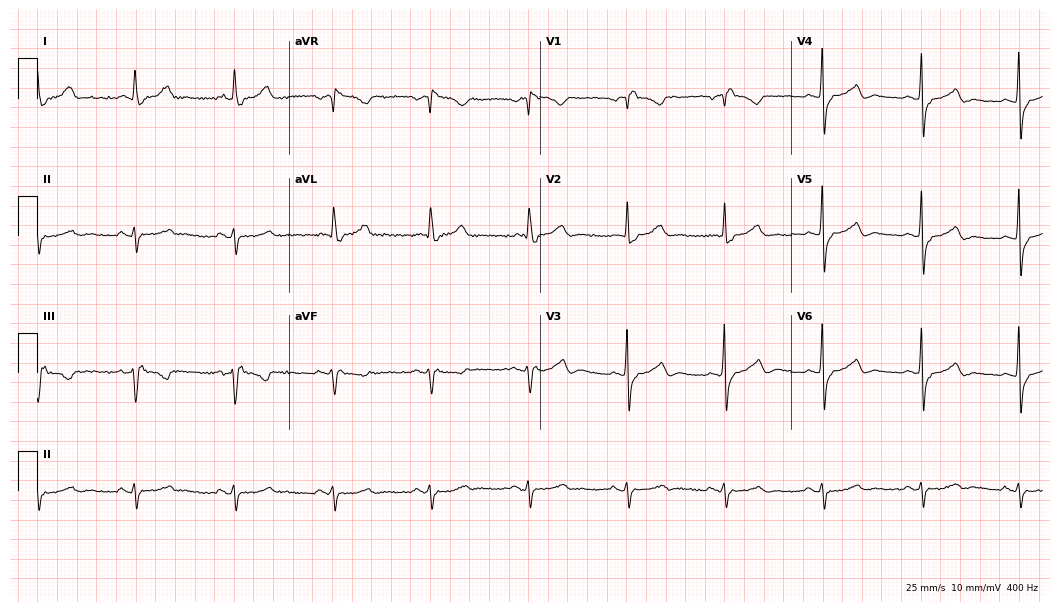
Standard 12-lead ECG recorded from a female patient, 74 years old. The tracing shows right bundle branch block (RBBB).